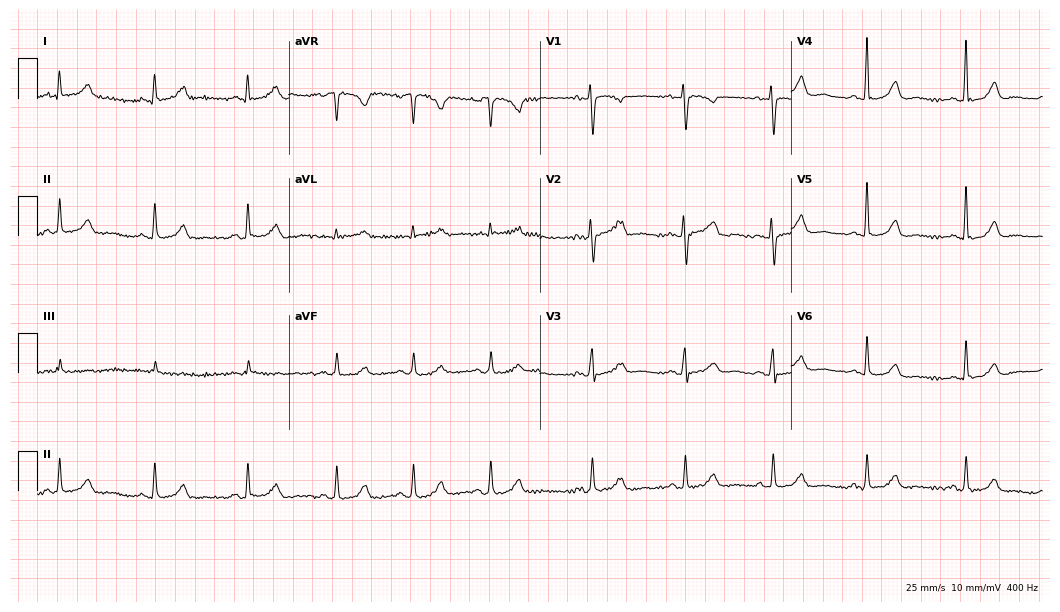
12-lead ECG from a female patient, 55 years old. Screened for six findings — first-degree AV block, right bundle branch block, left bundle branch block, sinus bradycardia, atrial fibrillation, sinus tachycardia — none is recorded.